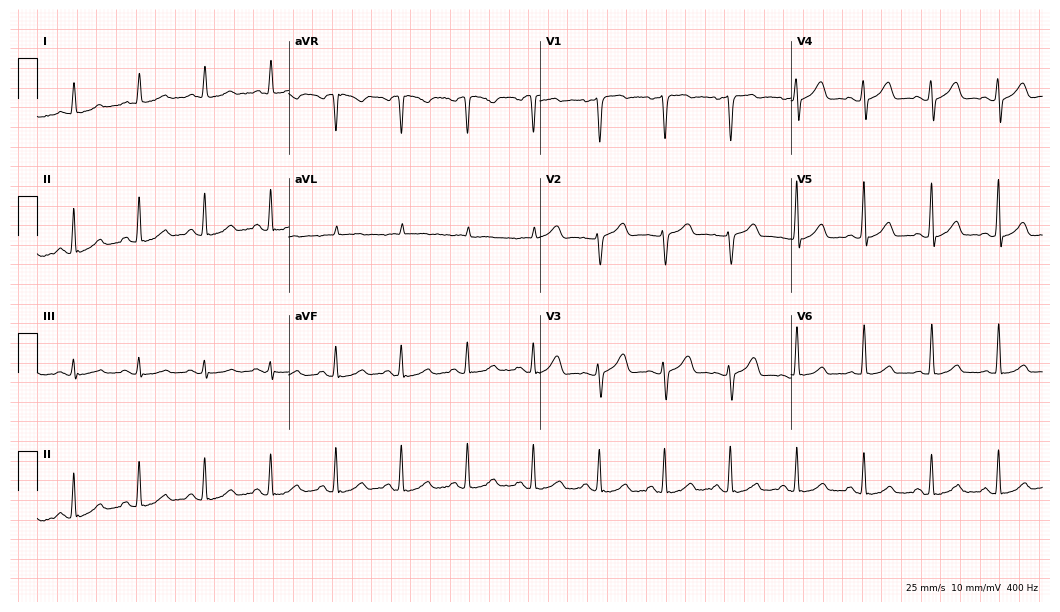
Standard 12-lead ECG recorded from a 50-year-old woman (10.2-second recording at 400 Hz). Read as a normal ECG.